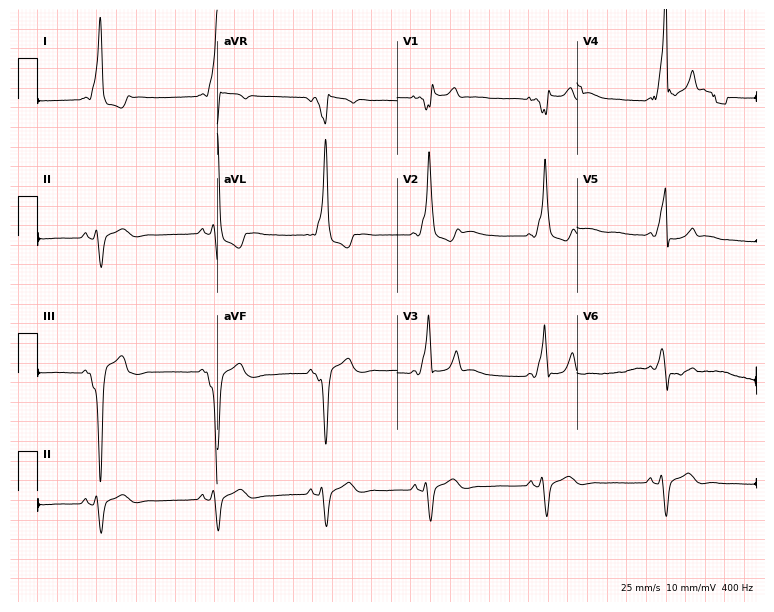
12-lead ECG from a male, 21 years old. Screened for six findings — first-degree AV block, right bundle branch block, left bundle branch block, sinus bradycardia, atrial fibrillation, sinus tachycardia — none is recorded.